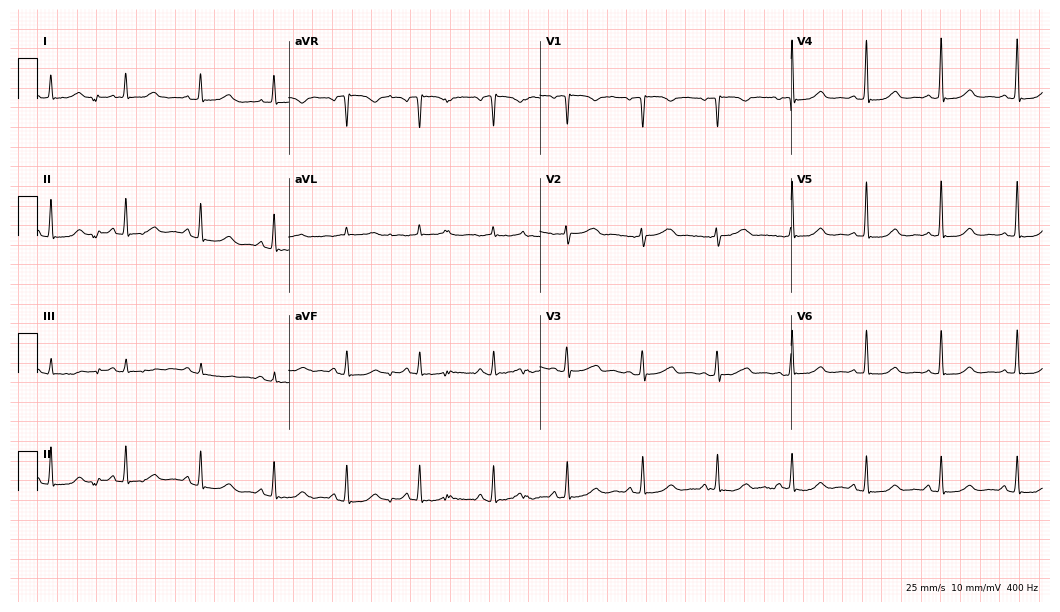
ECG (10.2-second recording at 400 Hz) — a 56-year-old female. Labelled as a normal ECG.